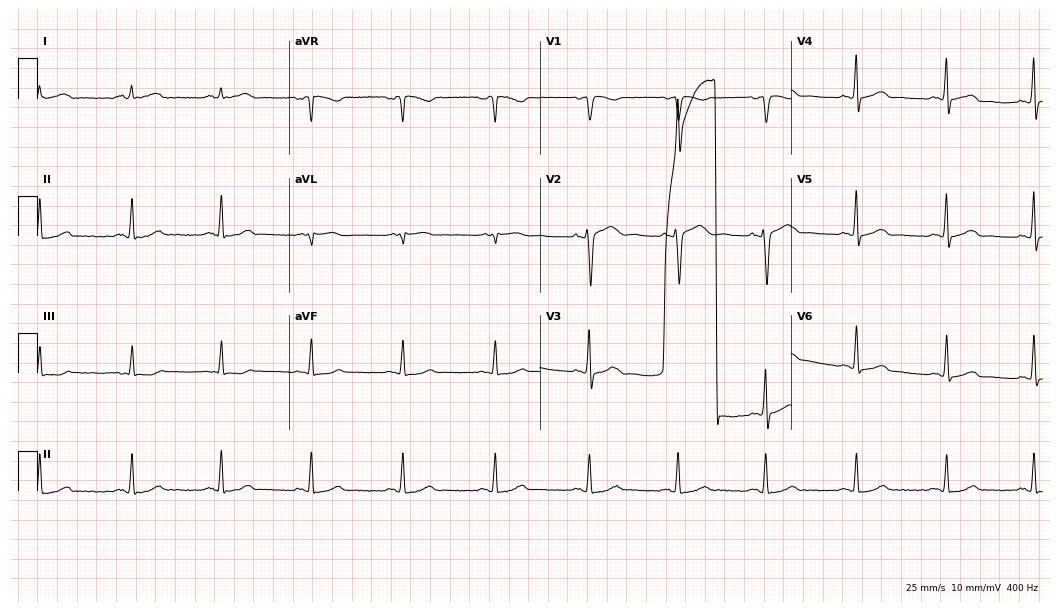
ECG (10.2-second recording at 400 Hz) — a female patient, 51 years old. Labelled as a normal ECG.